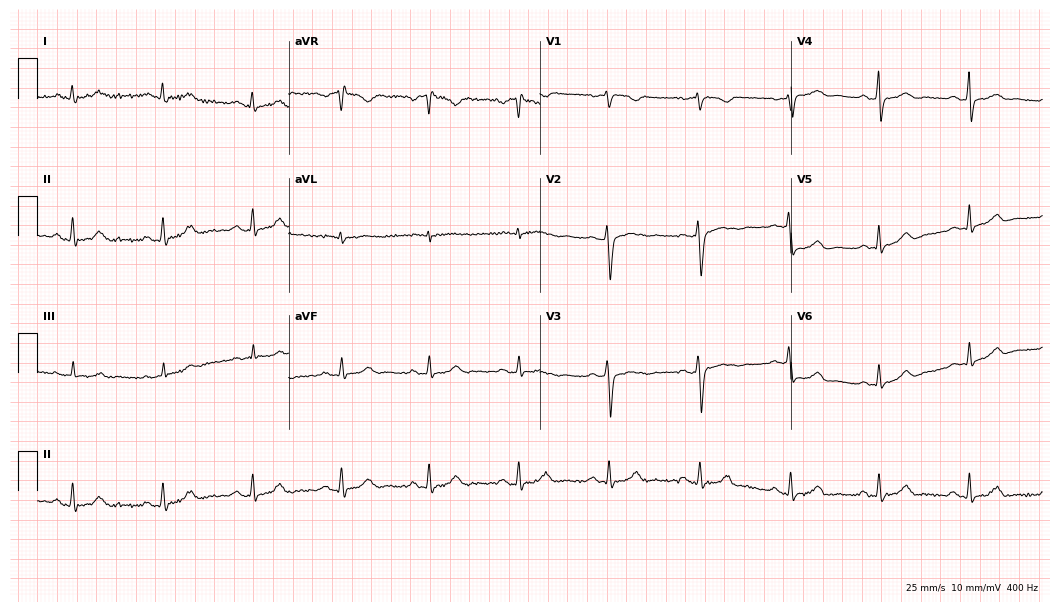
Electrocardiogram, a 34-year-old female. Overall reading on record: normal ECG.